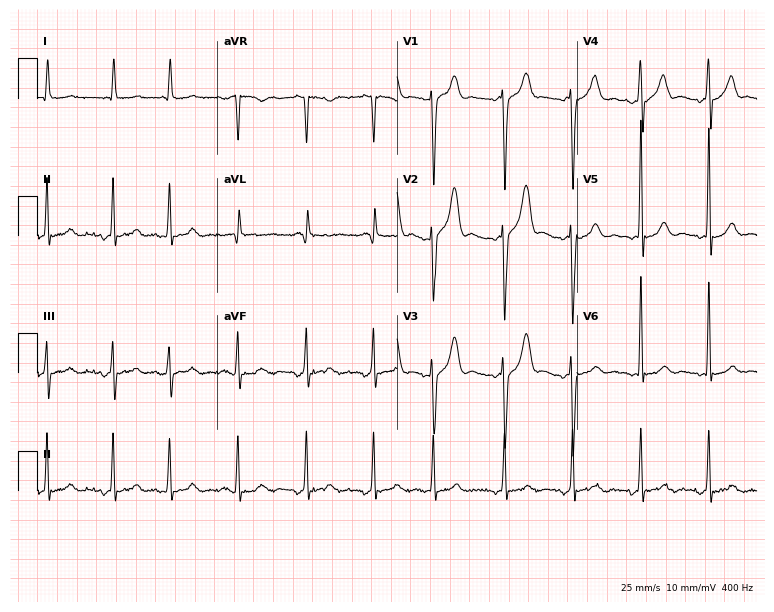
12-lead ECG (7.3-second recording at 400 Hz) from a male patient, 60 years old. Labelled as a normal ECG.